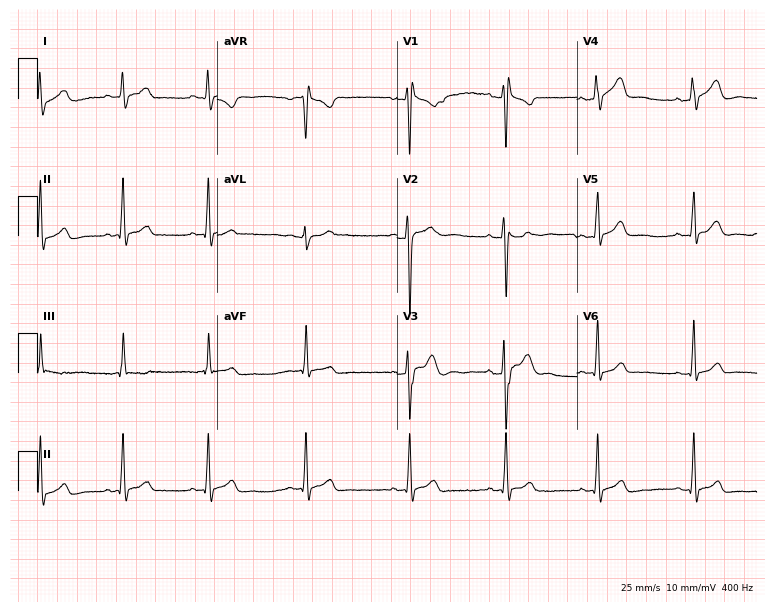
12-lead ECG from a male patient, 35 years old (7.3-second recording at 400 Hz). No first-degree AV block, right bundle branch block, left bundle branch block, sinus bradycardia, atrial fibrillation or sinus tachycardia recorded for this tracing. Findings outside these six are not listed.